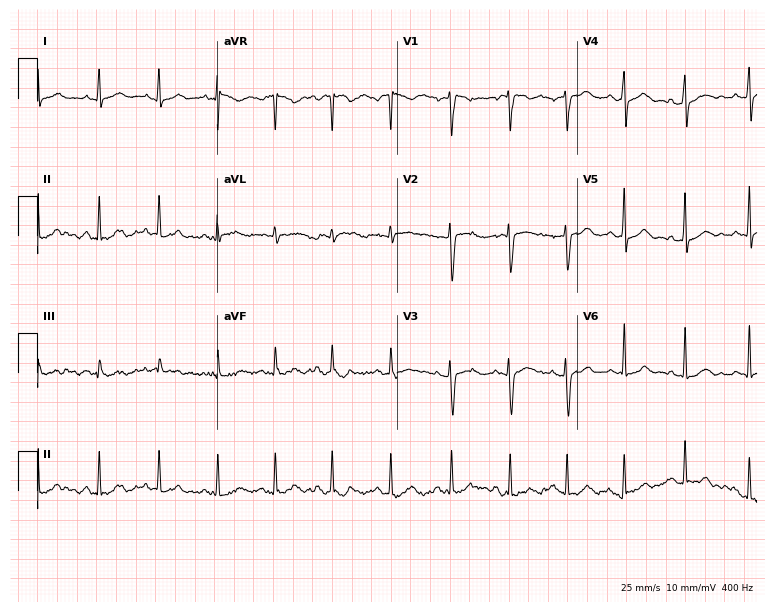
Electrocardiogram (7.3-second recording at 400 Hz), a 29-year-old woman. Overall reading on record: normal ECG.